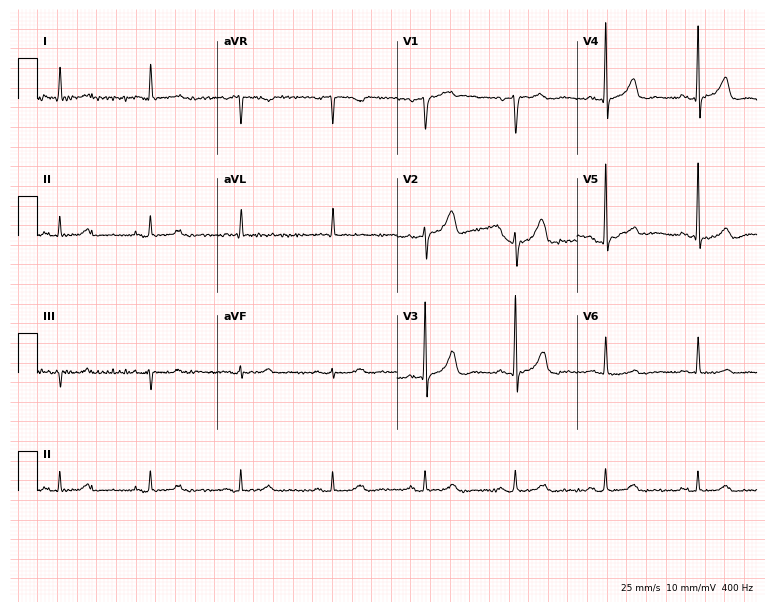
12-lead ECG (7.3-second recording at 400 Hz) from a male patient, 77 years old. Screened for six findings — first-degree AV block, right bundle branch block, left bundle branch block, sinus bradycardia, atrial fibrillation, sinus tachycardia — none is recorded. Other findings, if any, are not listed.